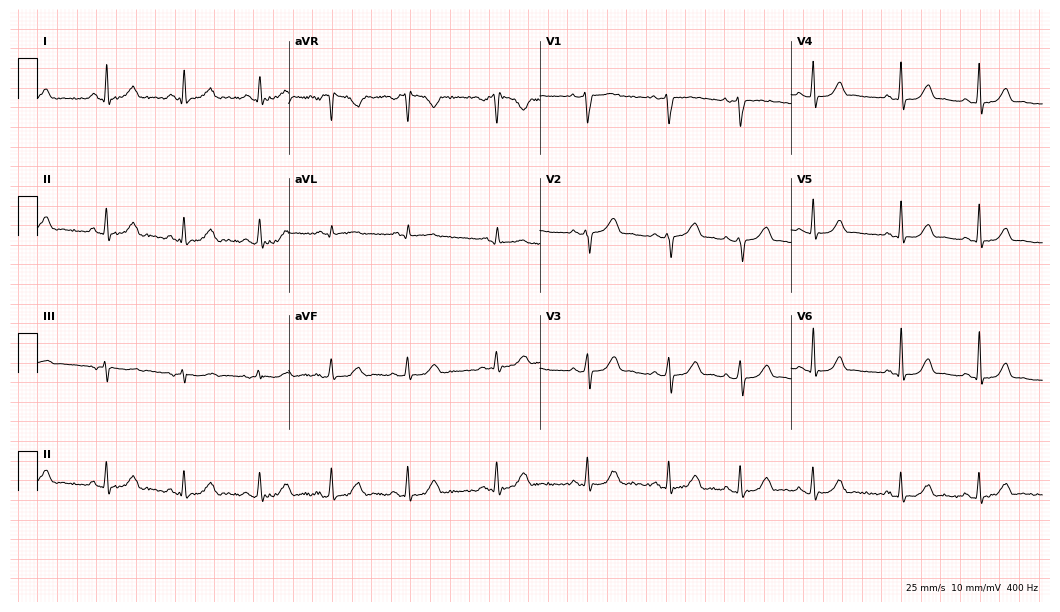
Resting 12-lead electrocardiogram (10.2-second recording at 400 Hz). Patient: a woman, 35 years old. None of these six findings is recorded: first-degree AV block, right bundle branch block, left bundle branch block, sinus bradycardia, atrial fibrillation, sinus tachycardia. Findings outside these six are not listed.